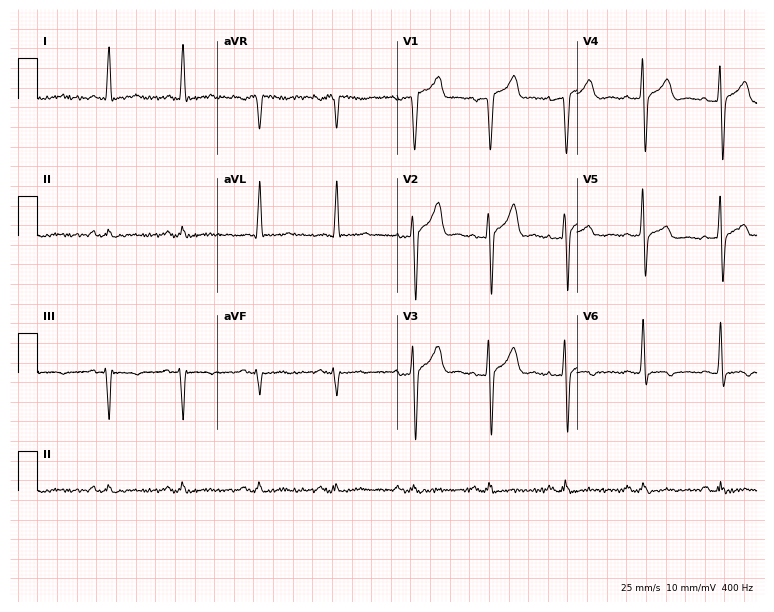
Standard 12-lead ECG recorded from a 51-year-old male (7.3-second recording at 400 Hz). None of these six findings is recorded: first-degree AV block, right bundle branch block, left bundle branch block, sinus bradycardia, atrial fibrillation, sinus tachycardia.